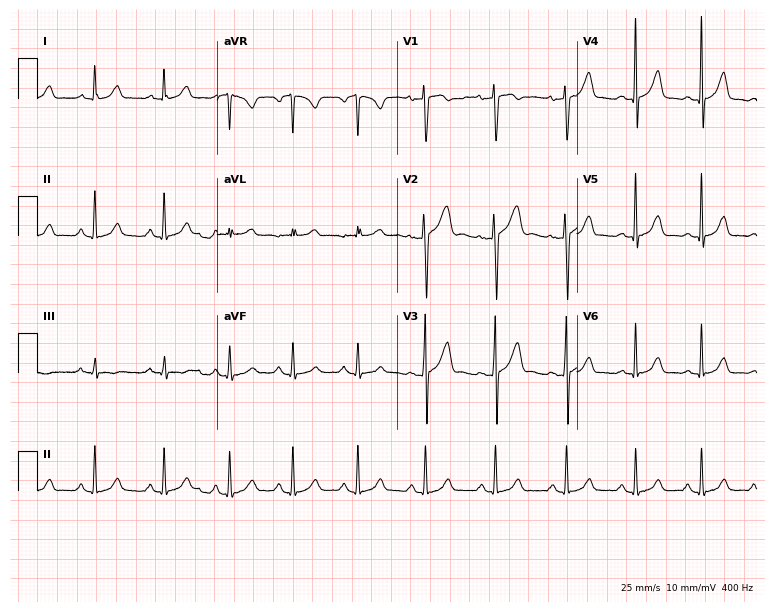
ECG (7.3-second recording at 400 Hz) — a woman, 20 years old. Screened for six findings — first-degree AV block, right bundle branch block (RBBB), left bundle branch block (LBBB), sinus bradycardia, atrial fibrillation (AF), sinus tachycardia — none is recorded. Other findings, if any, are not listed.